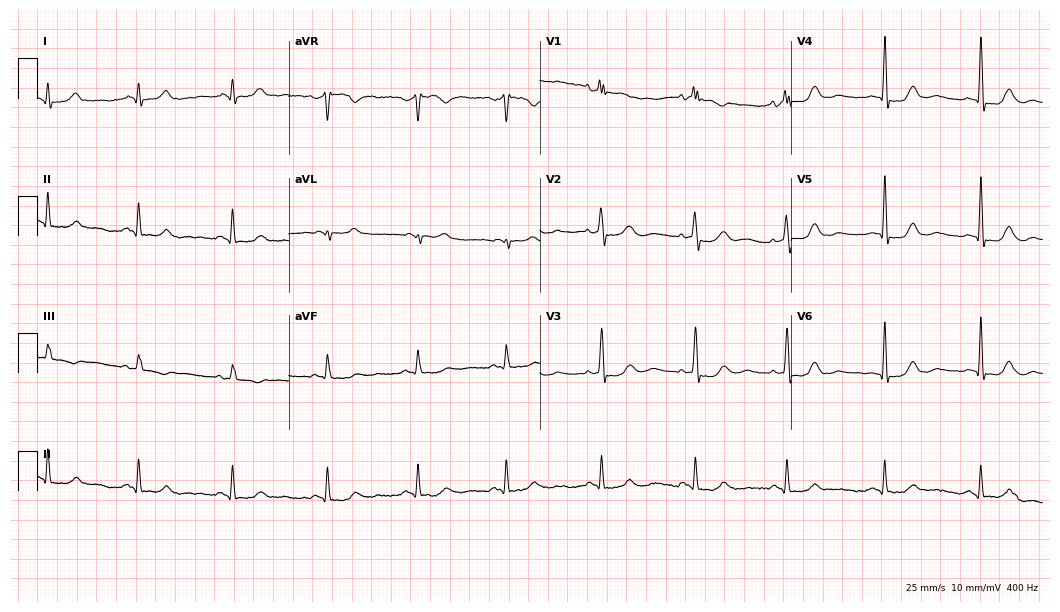
Resting 12-lead electrocardiogram (10.2-second recording at 400 Hz). Patient: a woman, 65 years old. None of these six findings is recorded: first-degree AV block, right bundle branch block, left bundle branch block, sinus bradycardia, atrial fibrillation, sinus tachycardia.